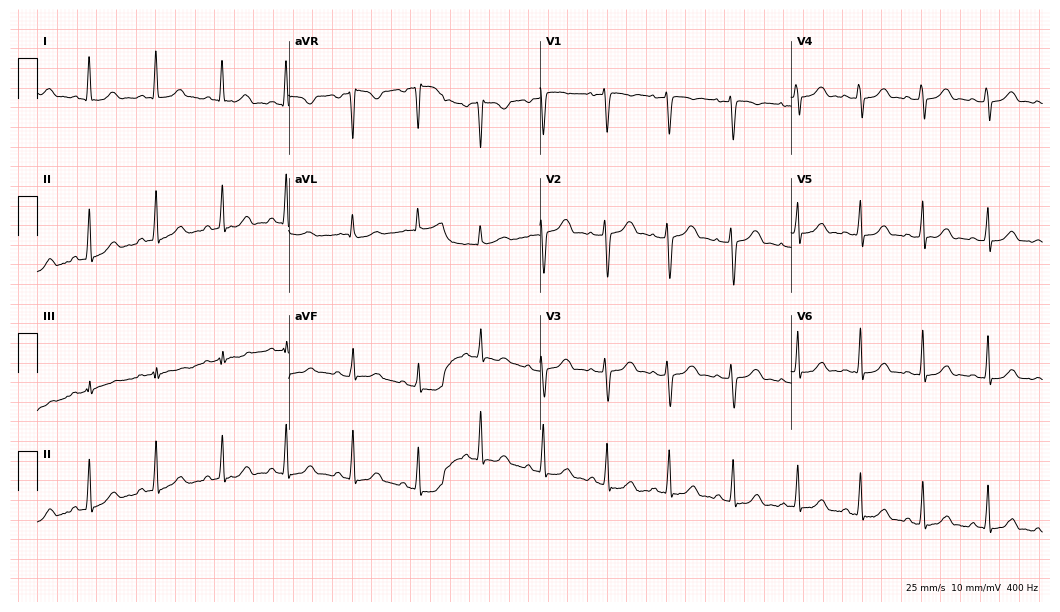
Electrocardiogram (10.2-second recording at 400 Hz), a female, 29 years old. Overall reading on record: normal ECG.